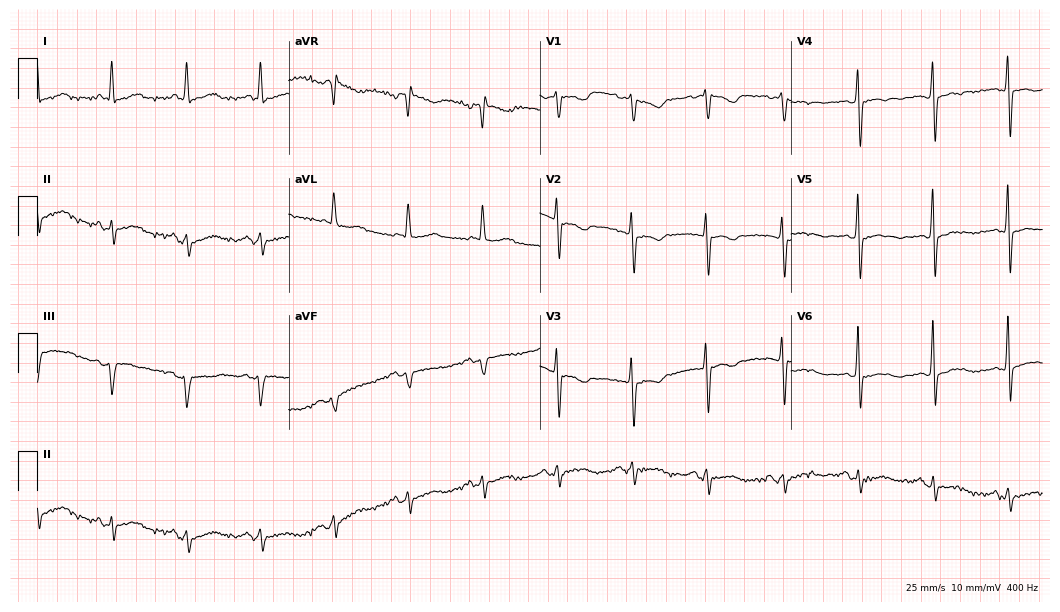
Resting 12-lead electrocardiogram. Patient: a 66-year-old woman. None of these six findings is recorded: first-degree AV block, right bundle branch block, left bundle branch block, sinus bradycardia, atrial fibrillation, sinus tachycardia. Findings outside these six are not listed.